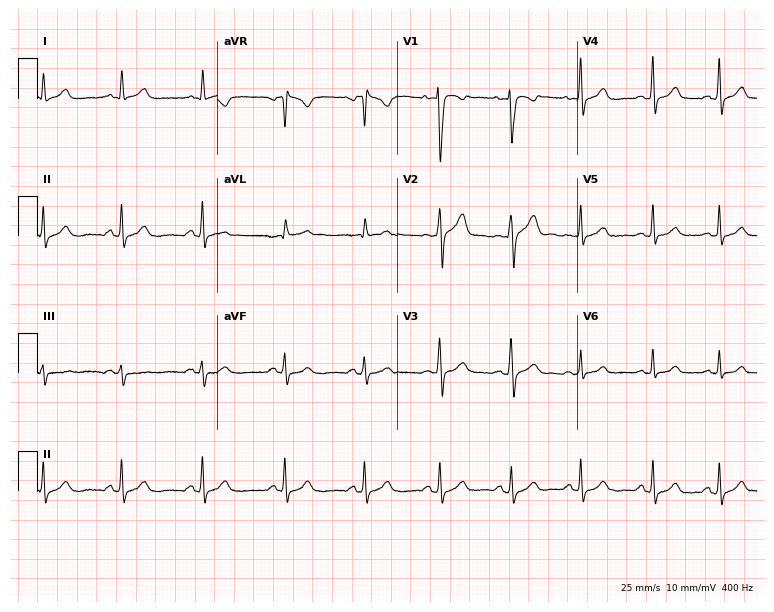
Electrocardiogram, a female, 31 years old. Overall reading on record: normal ECG.